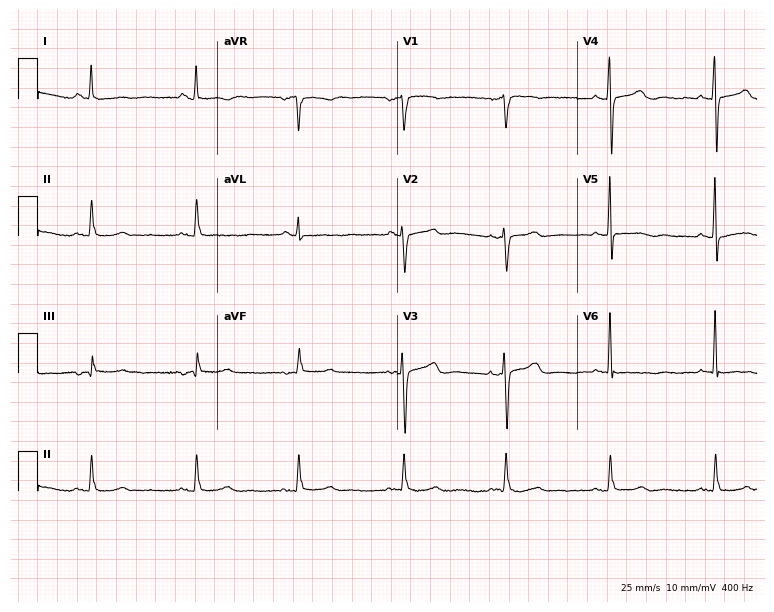
Standard 12-lead ECG recorded from a 70-year-old female. None of these six findings is recorded: first-degree AV block, right bundle branch block, left bundle branch block, sinus bradycardia, atrial fibrillation, sinus tachycardia.